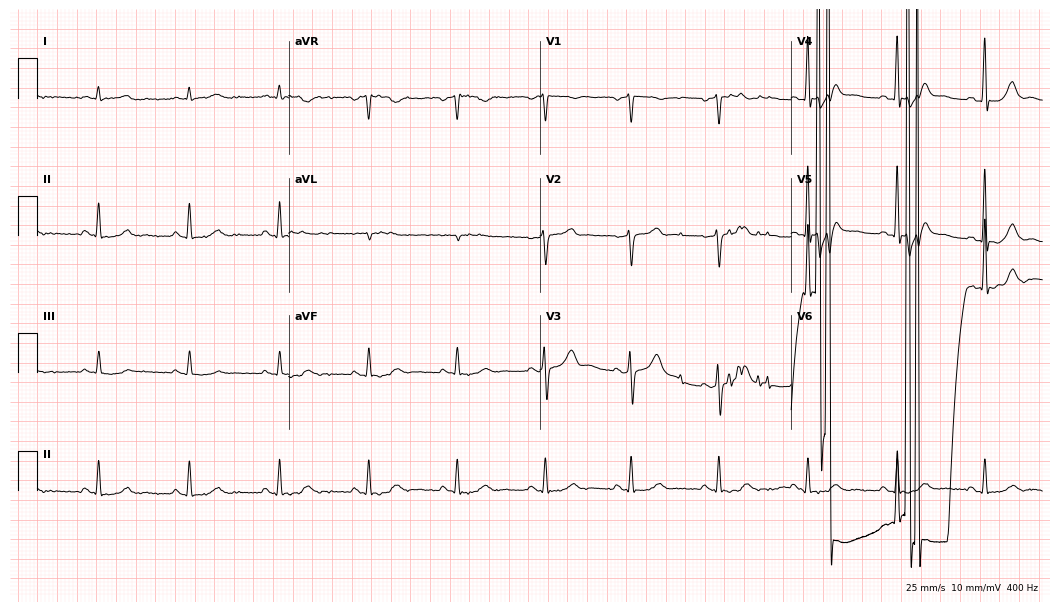
Standard 12-lead ECG recorded from a 63-year-old man. None of these six findings is recorded: first-degree AV block, right bundle branch block, left bundle branch block, sinus bradycardia, atrial fibrillation, sinus tachycardia. Only these six findings were labelled.